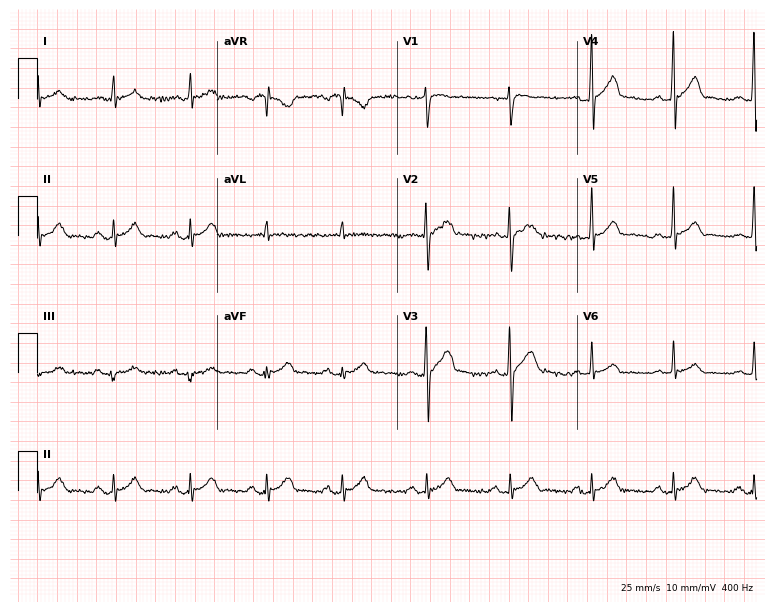
12-lead ECG (7.3-second recording at 400 Hz) from a 36-year-old male. Screened for six findings — first-degree AV block, right bundle branch block (RBBB), left bundle branch block (LBBB), sinus bradycardia, atrial fibrillation (AF), sinus tachycardia — none is recorded.